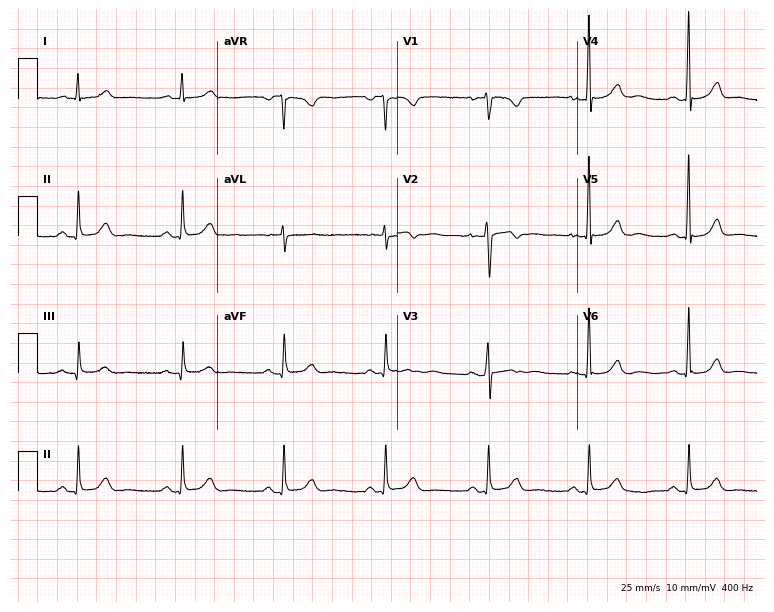
12-lead ECG (7.3-second recording at 400 Hz) from a 57-year-old female. Labelled as a normal ECG.